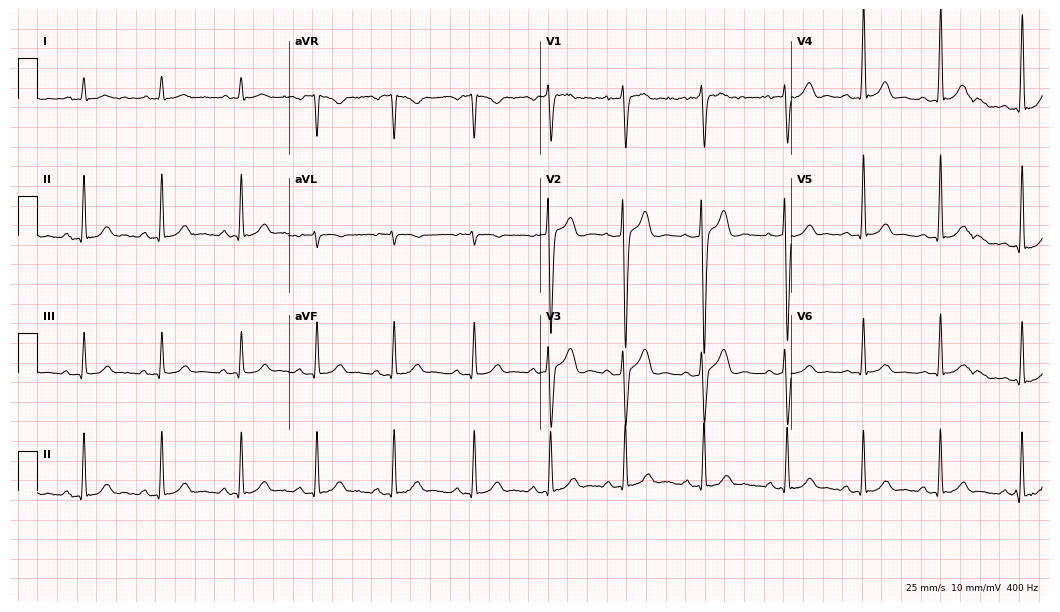
ECG — a 19-year-old man. Screened for six findings — first-degree AV block, right bundle branch block (RBBB), left bundle branch block (LBBB), sinus bradycardia, atrial fibrillation (AF), sinus tachycardia — none is recorded. Findings outside these six are not listed.